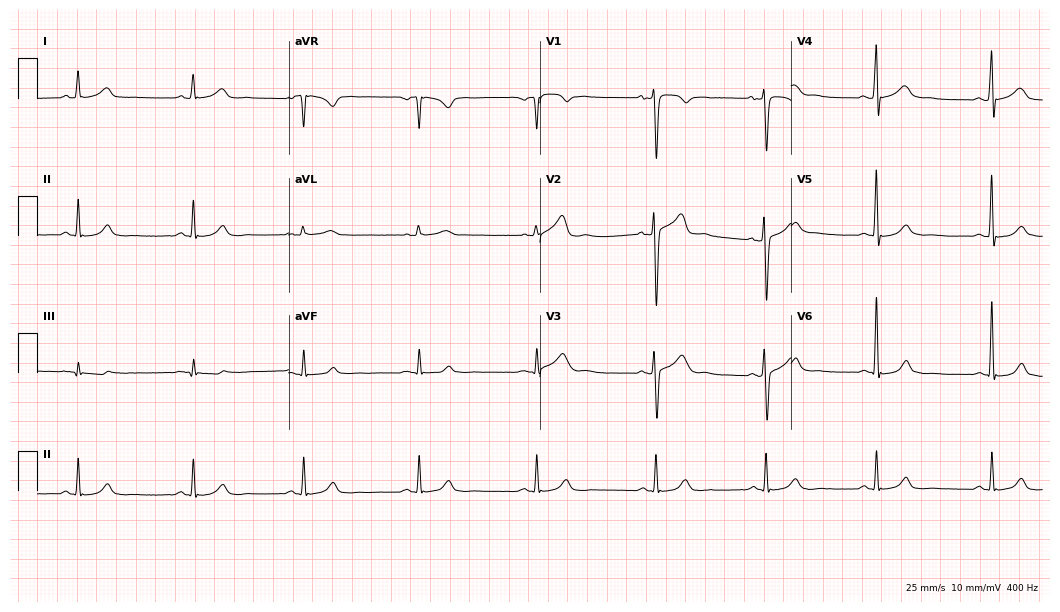
Resting 12-lead electrocardiogram. Patient: a male, 39 years old. None of these six findings is recorded: first-degree AV block, right bundle branch block, left bundle branch block, sinus bradycardia, atrial fibrillation, sinus tachycardia. Other findings, if any, are not listed.